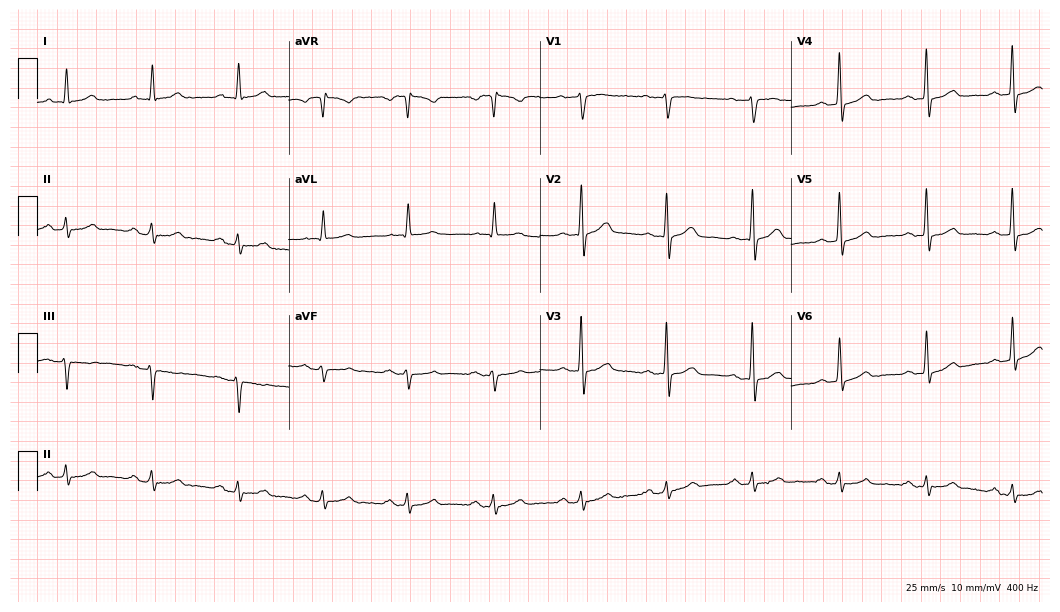
Resting 12-lead electrocardiogram. Patient: a 72-year-old male. The tracing shows first-degree AV block.